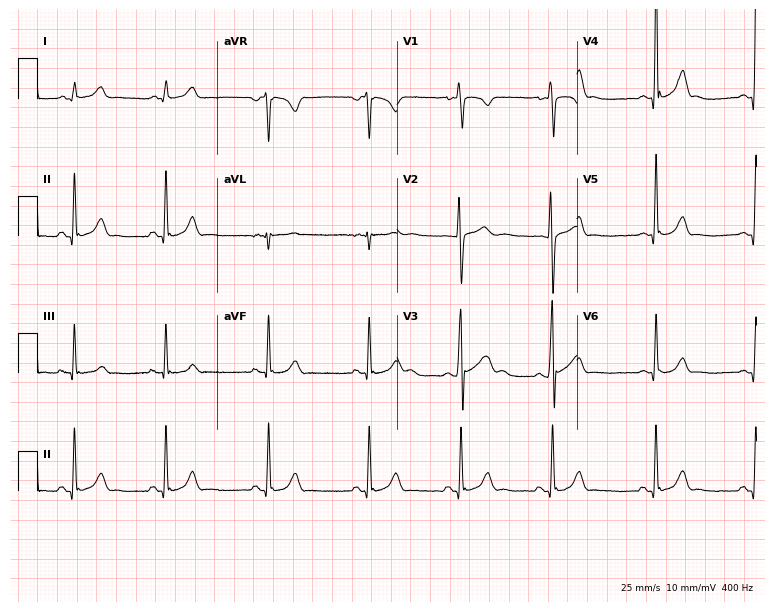
Resting 12-lead electrocardiogram (7.3-second recording at 400 Hz). Patient: an 18-year-old man. None of these six findings is recorded: first-degree AV block, right bundle branch block, left bundle branch block, sinus bradycardia, atrial fibrillation, sinus tachycardia.